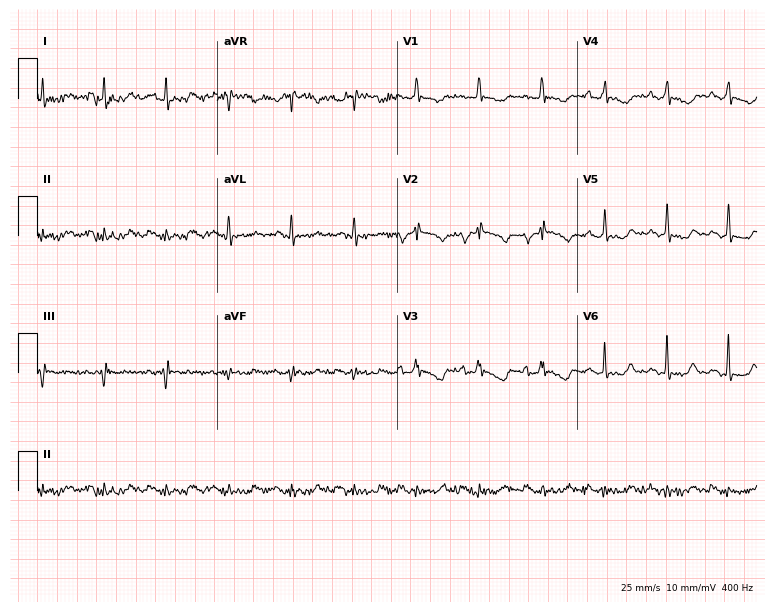
12-lead ECG (7.3-second recording at 400 Hz) from a 41-year-old female. Screened for six findings — first-degree AV block, right bundle branch block, left bundle branch block, sinus bradycardia, atrial fibrillation, sinus tachycardia — none is recorded.